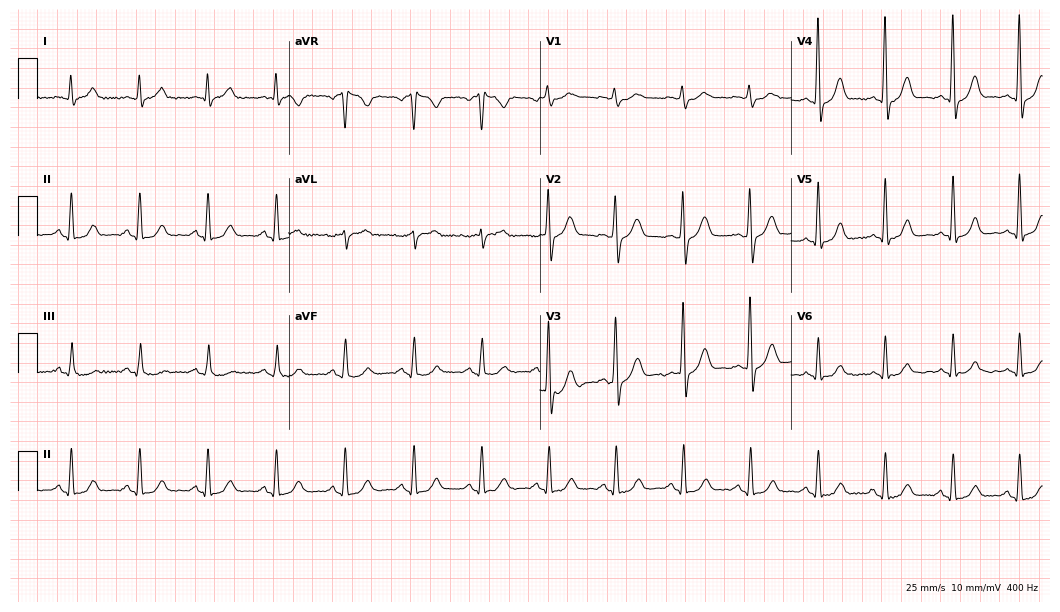
12-lead ECG from a 55-year-old man (10.2-second recording at 400 Hz). Recorded interpretation: within normal limits.